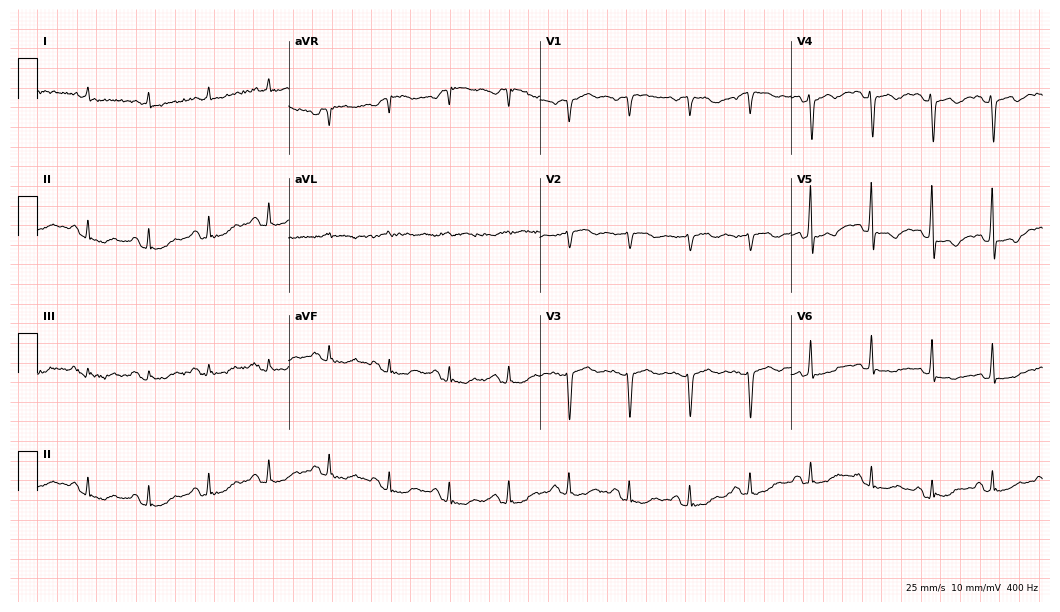
Resting 12-lead electrocardiogram. Patient: a man, 74 years old. None of these six findings is recorded: first-degree AV block, right bundle branch block, left bundle branch block, sinus bradycardia, atrial fibrillation, sinus tachycardia.